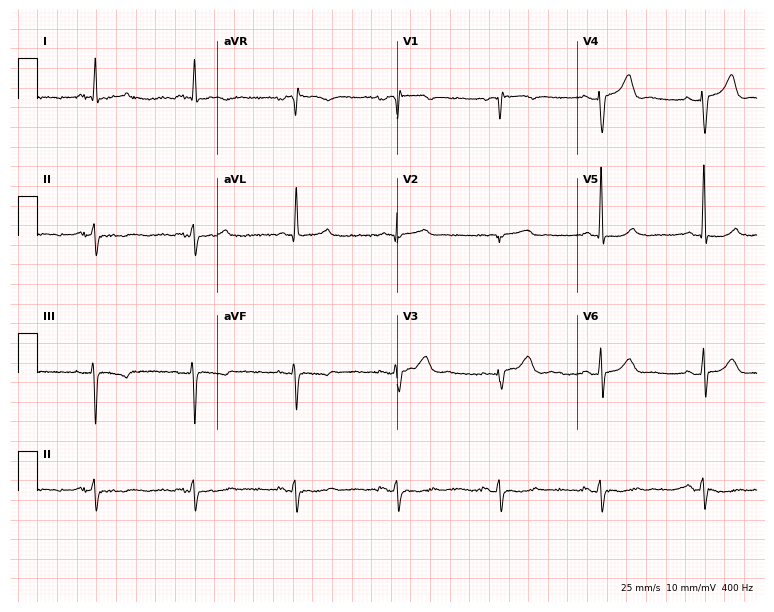
12-lead ECG from an 80-year-old male patient (7.3-second recording at 400 Hz). No first-degree AV block, right bundle branch block (RBBB), left bundle branch block (LBBB), sinus bradycardia, atrial fibrillation (AF) or sinus tachycardia recorded for this tracing.